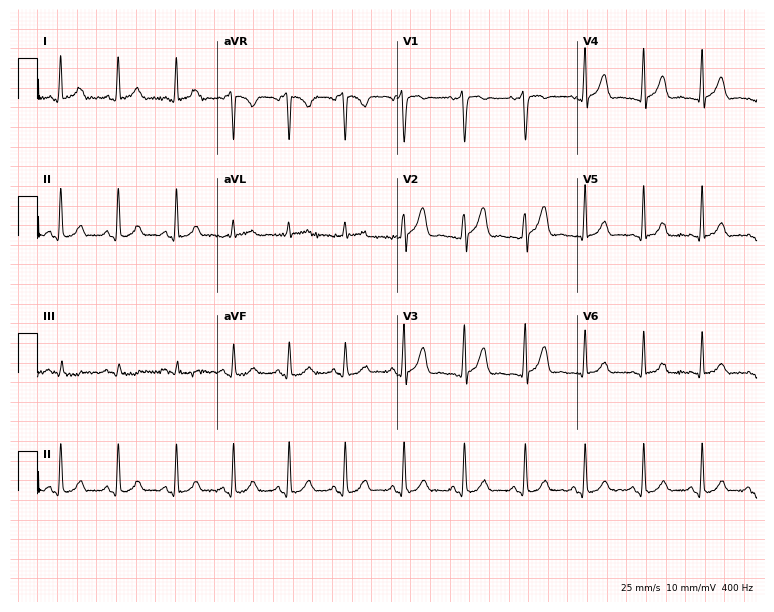
Resting 12-lead electrocardiogram. Patient: a 33-year-old woman. Read as a normal ECG.